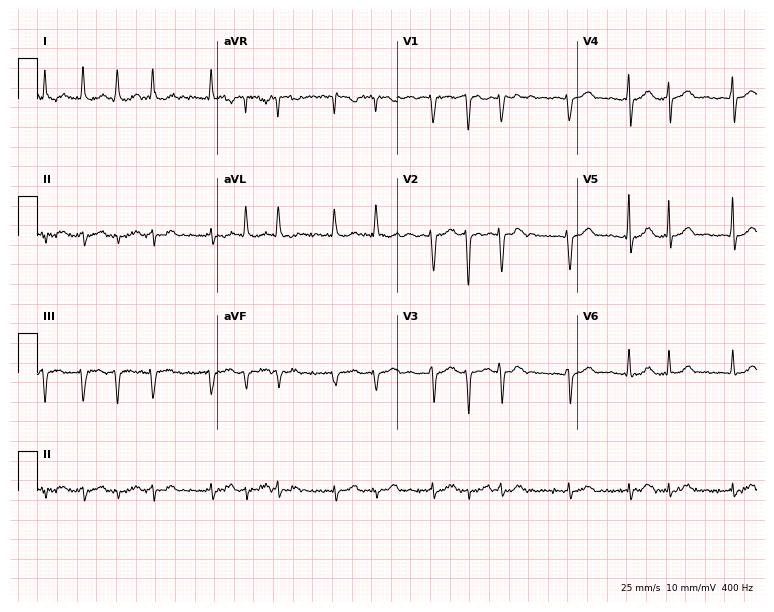
ECG (7.3-second recording at 400 Hz) — a female, 75 years old. Findings include atrial fibrillation.